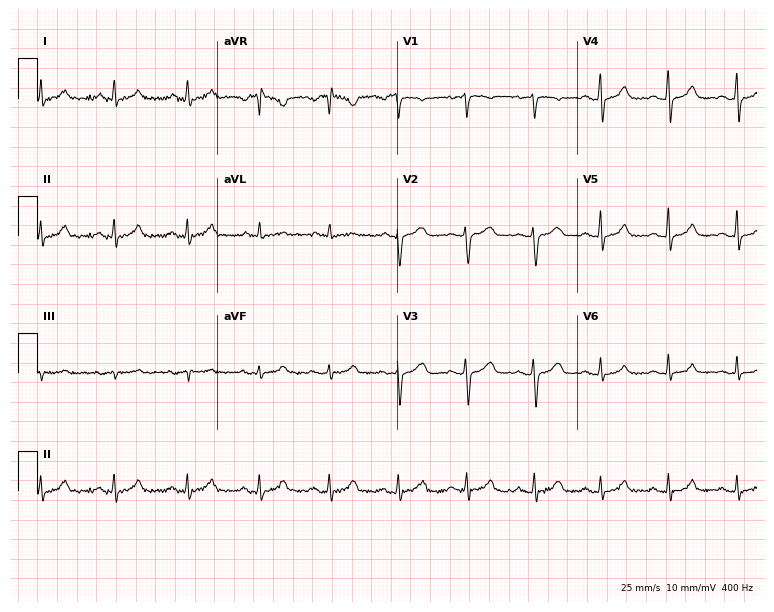
ECG — a woman, 35 years old. Labelled as a normal ECG.